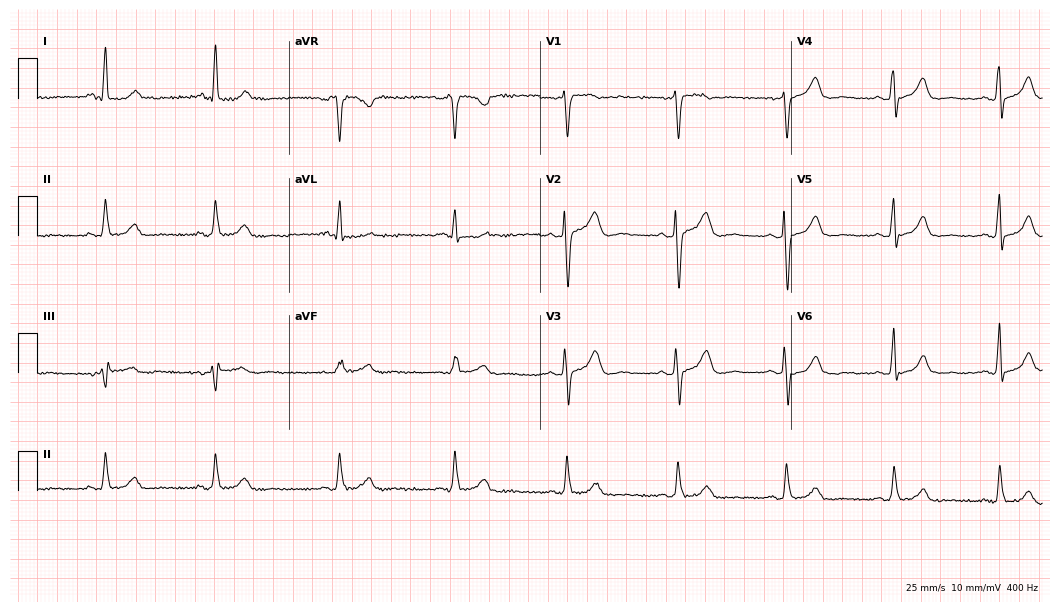
Resting 12-lead electrocardiogram (10.2-second recording at 400 Hz). Patient: a woman, 63 years old. Read as a normal ECG.